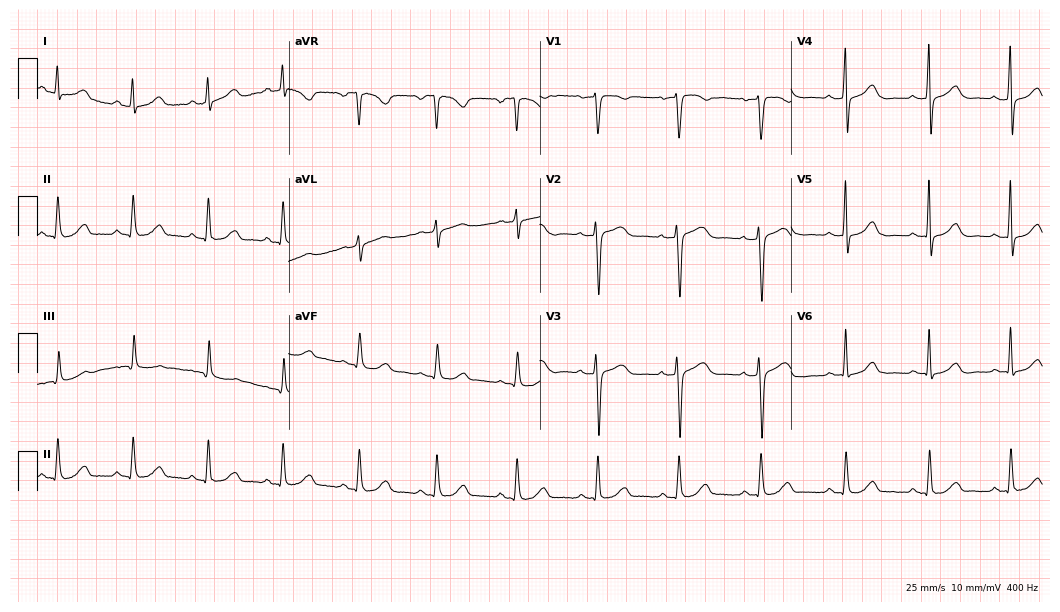
12-lead ECG from a female, 49 years old. Recorded interpretation: within normal limits.